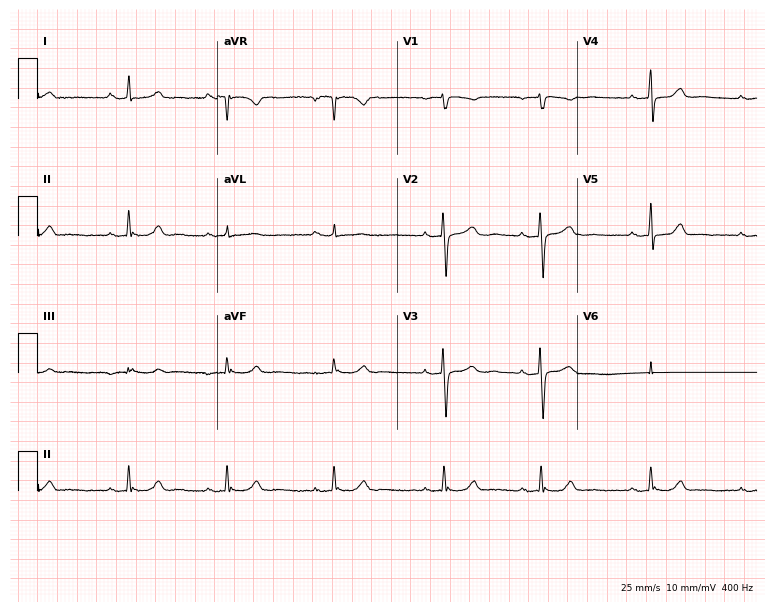
Resting 12-lead electrocardiogram. Patient: a female, 31 years old. Read as a normal ECG.